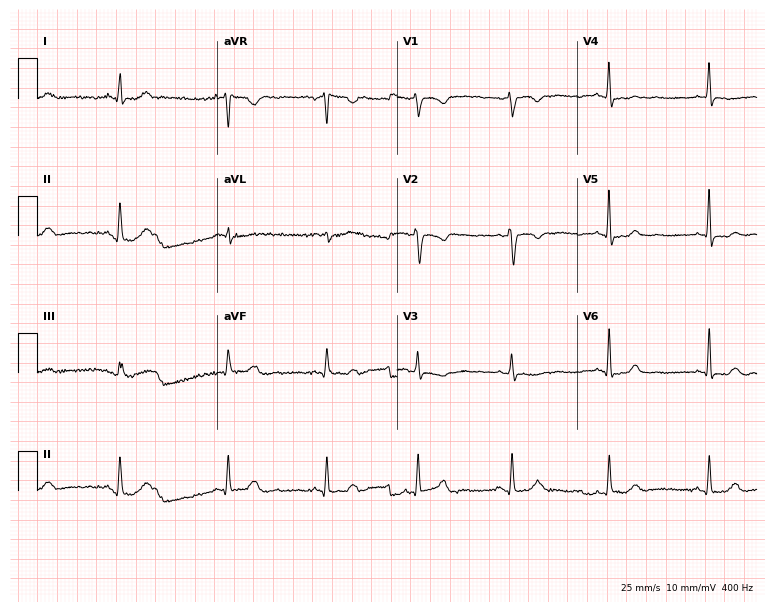
Standard 12-lead ECG recorded from a 26-year-old female patient. None of these six findings is recorded: first-degree AV block, right bundle branch block, left bundle branch block, sinus bradycardia, atrial fibrillation, sinus tachycardia.